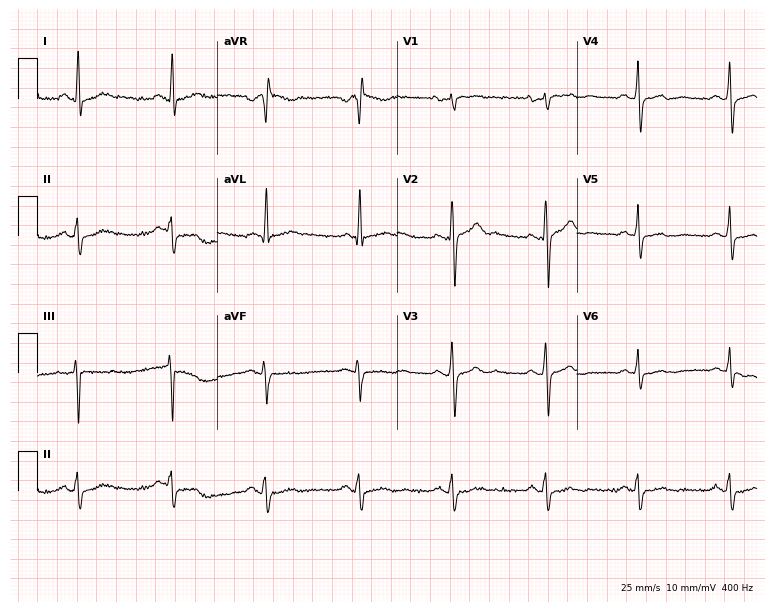
Electrocardiogram, a male, 49 years old. Of the six screened findings (first-degree AV block, right bundle branch block, left bundle branch block, sinus bradycardia, atrial fibrillation, sinus tachycardia), none is recorded. Other findings, if any, are not listed.